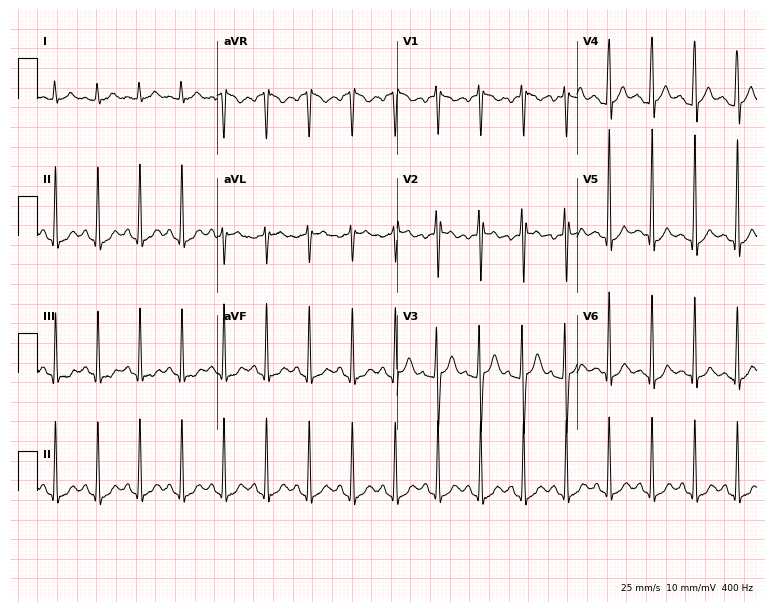
Resting 12-lead electrocardiogram (7.3-second recording at 400 Hz). Patient: a 17-year-old male. The tracing shows sinus tachycardia (a sinus rate of 100 beats per minute or more).